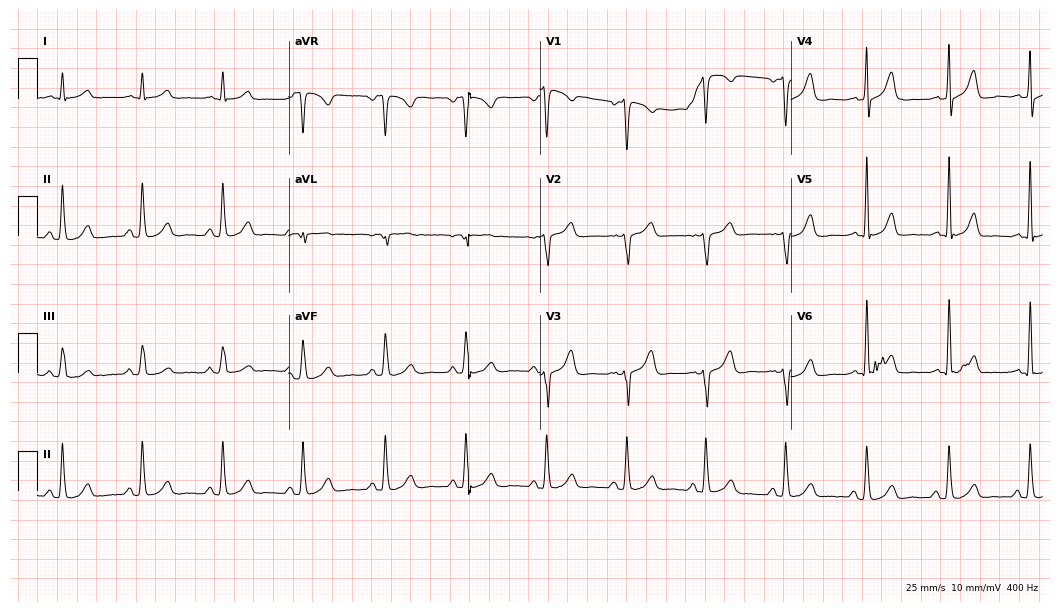
Standard 12-lead ECG recorded from a man, 42 years old. None of these six findings is recorded: first-degree AV block, right bundle branch block (RBBB), left bundle branch block (LBBB), sinus bradycardia, atrial fibrillation (AF), sinus tachycardia.